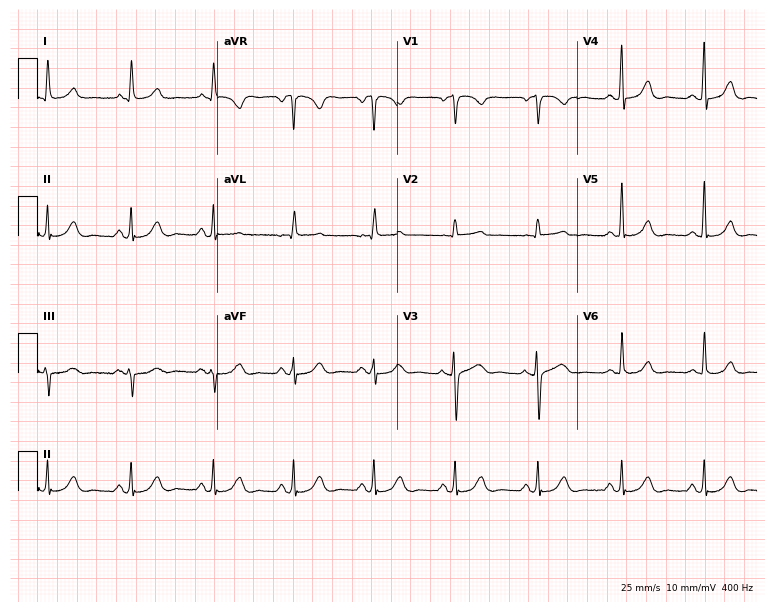
ECG — a 70-year-old woman. Labelled as a normal ECG.